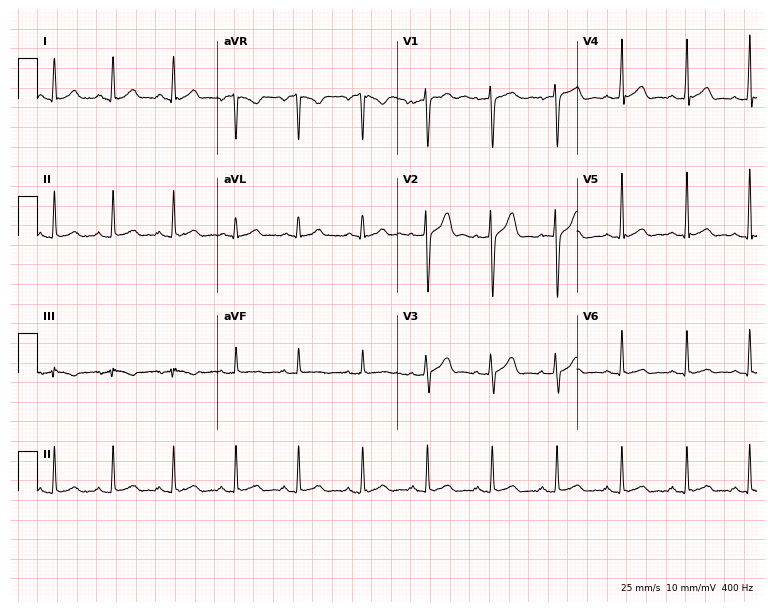
12-lead ECG from a man, 35 years old. Recorded interpretation: within normal limits.